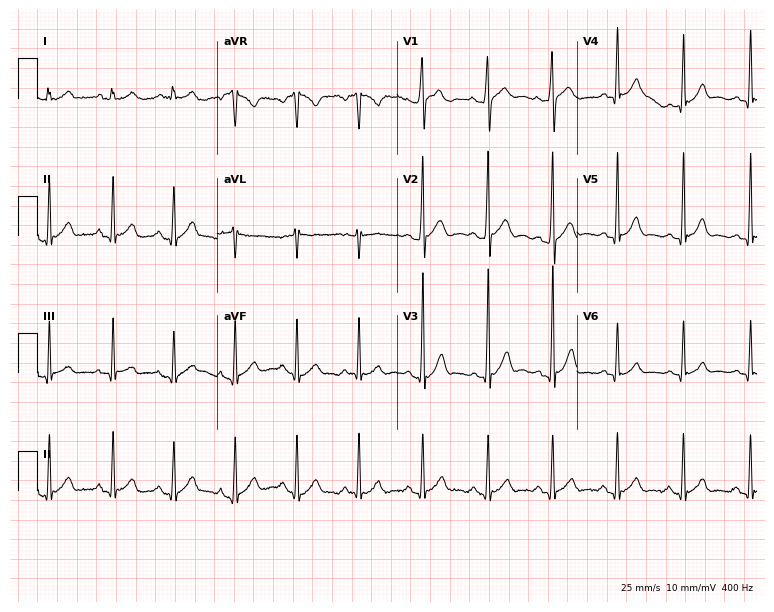
12-lead ECG from a male, 19 years old. Labelled as a normal ECG.